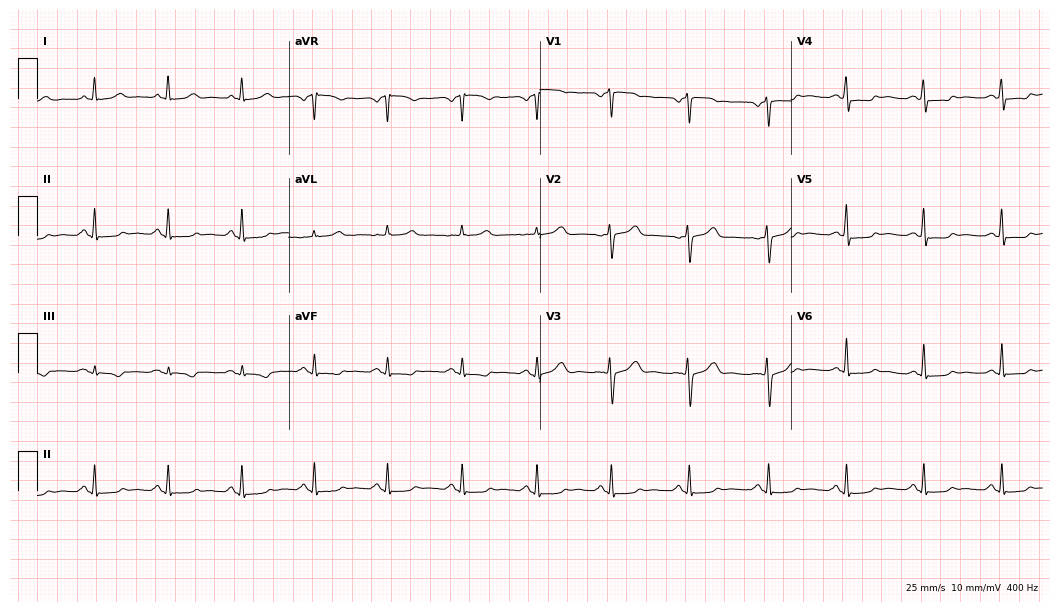
12-lead ECG from a female, 39 years old (10.2-second recording at 400 Hz). No first-degree AV block, right bundle branch block (RBBB), left bundle branch block (LBBB), sinus bradycardia, atrial fibrillation (AF) or sinus tachycardia recorded for this tracing.